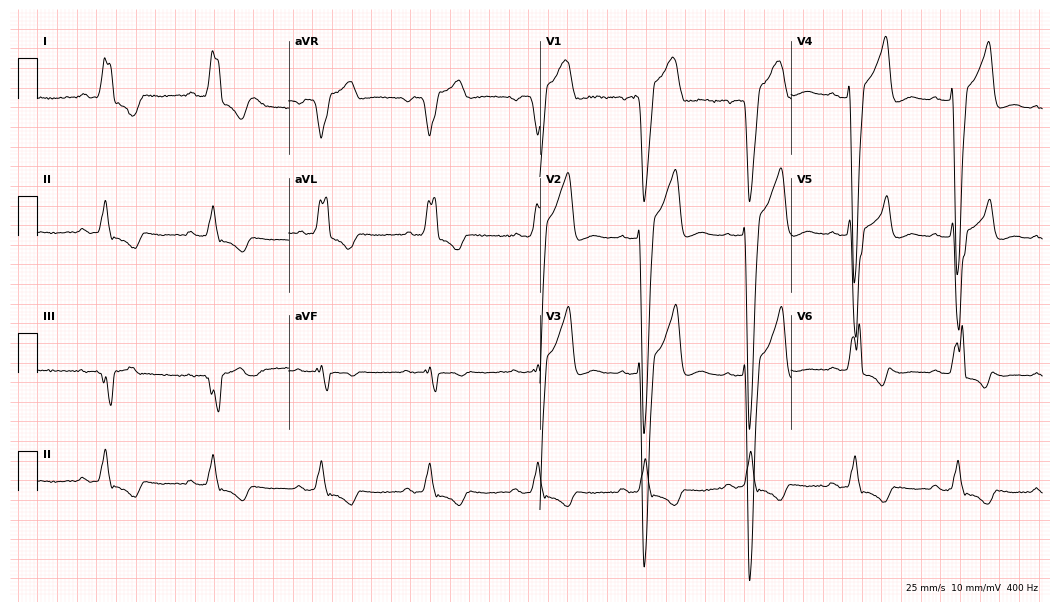
12-lead ECG from a man, 63 years old (10.2-second recording at 400 Hz). Shows left bundle branch block (LBBB).